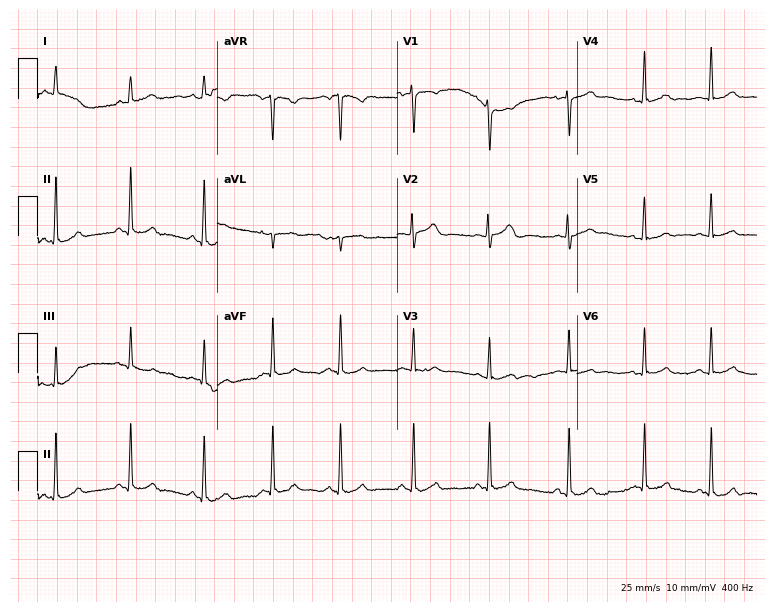
12-lead ECG from a female patient, 23 years old (7.3-second recording at 400 Hz). No first-degree AV block, right bundle branch block (RBBB), left bundle branch block (LBBB), sinus bradycardia, atrial fibrillation (AF) or sinus tachycardia recorded for this tracing.